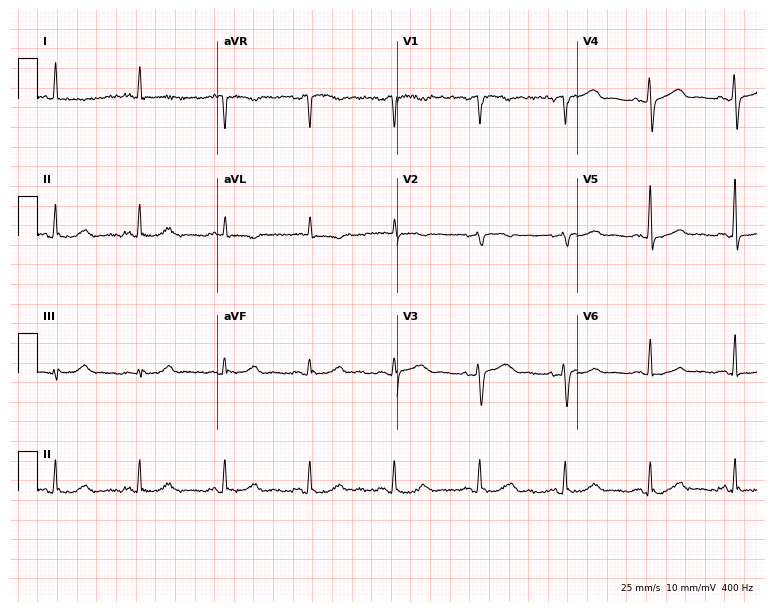
12-lead ECG from a 56-year-old male patient. Recorded interpretation: within normal limits.